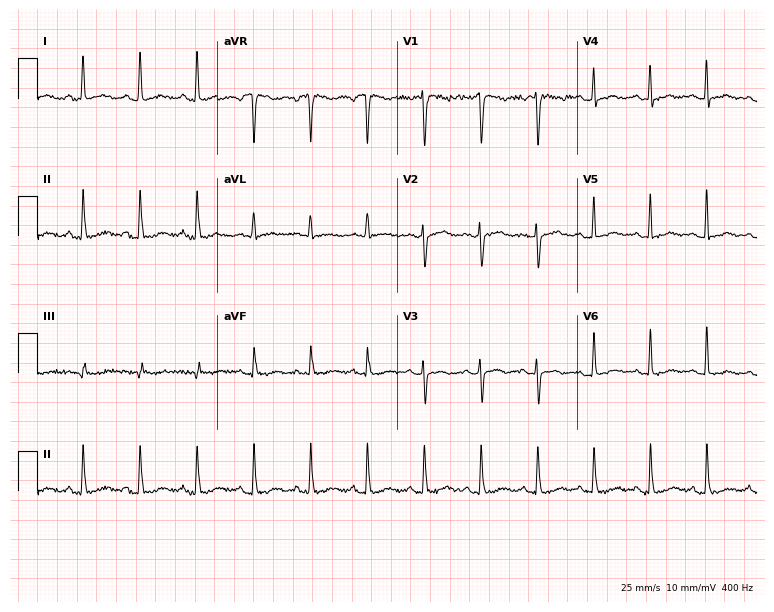
Electrocardiogram, a female, 26 years old. Interpretation includes sinus tachycardia (a sinus rate of 100 beats per minute or more).